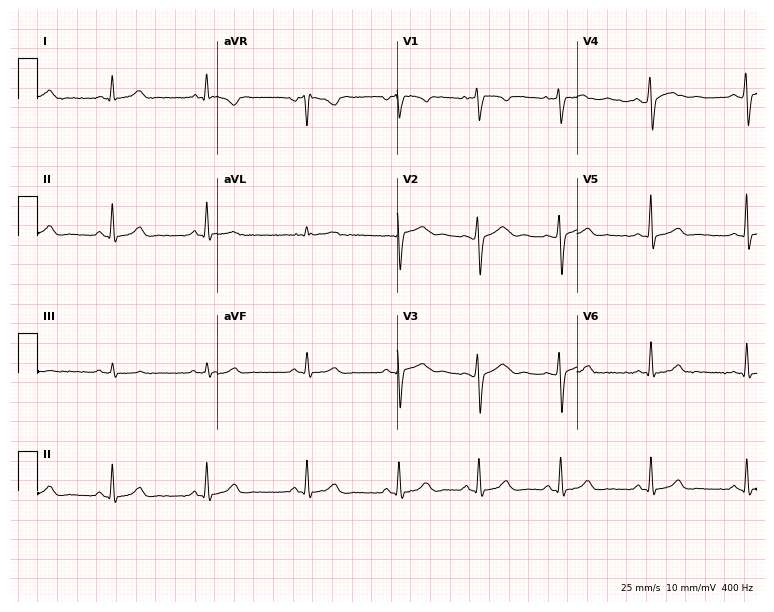
Standard 12-lead ECG recorded from a 22-year-old female (7.3-second recording at 400 Hz). None of these six findings is recorded: first-degree AV block, right bundle branch block, left bundle branch block, sinus bradycardia, atrial fibrillation, sinus tachycardia. Other findings, if any, are not listed.